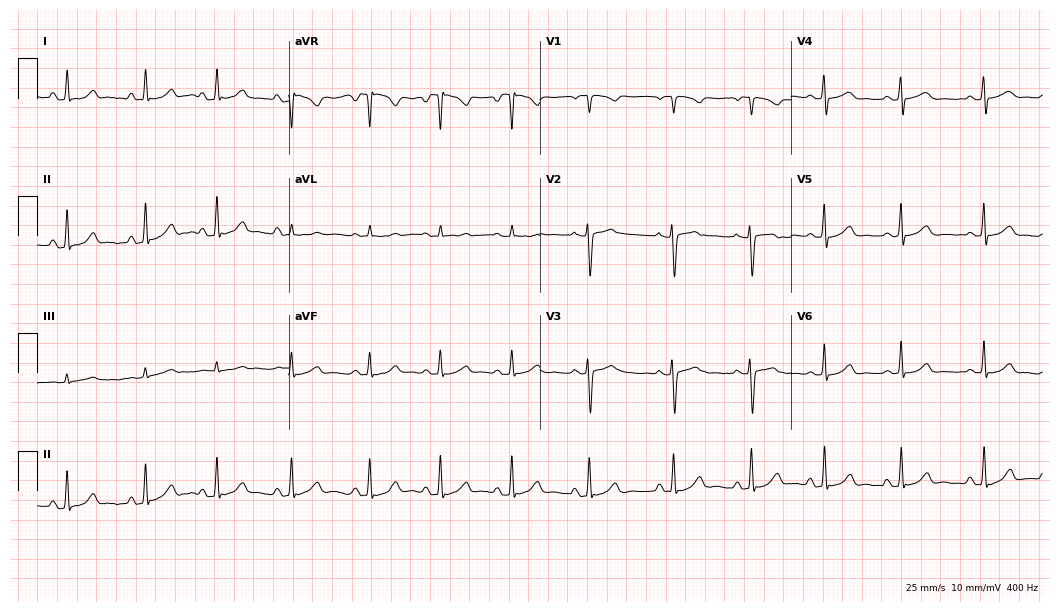
12-lead ECG (10.2-second recording at 400 Hz) from a 23-year-old woman. Labelled as a normal ECG.